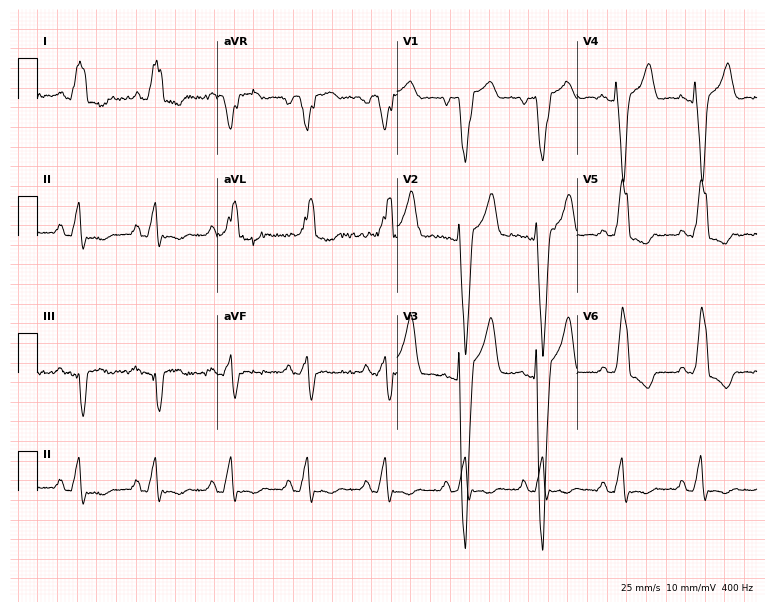
Standard 12-lead ECG recorded from a 57-year-old woman. The tracing shows left bundle branch block (LBBB).